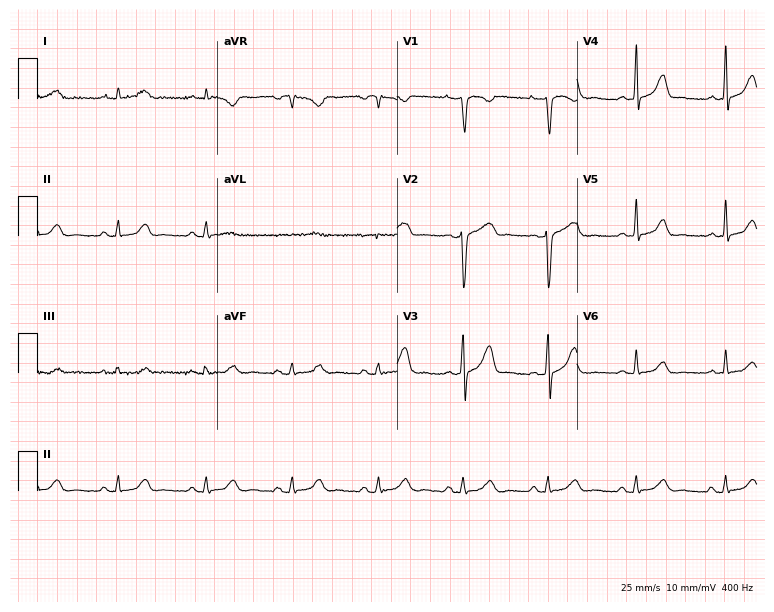
Standard 12-lead ECG recorded from a female, 53 years old. None of these six findings is recorded: first-degree AV block, right bundle branch block (RBBB), left bundle branch block (LBBB), sinus bradycardia, atrial fibrillation (AF), sinus tachycardia. Findings outside these six are not listed.